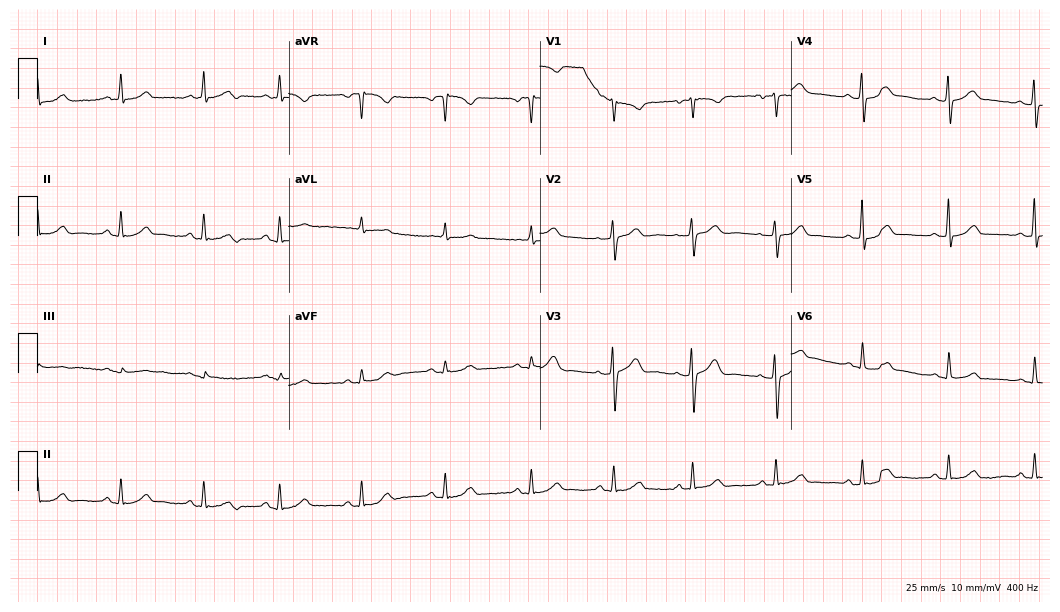
Standard 12-lead ECG recorded from a woman, 45 years old (10.2-second recording at 400 Hz). None of these six findings is recorded: first-degree AV block, right bundle branch block, left bundle branch block, sinus bradycardia, atrial fibrillation, sinus tachycardia.